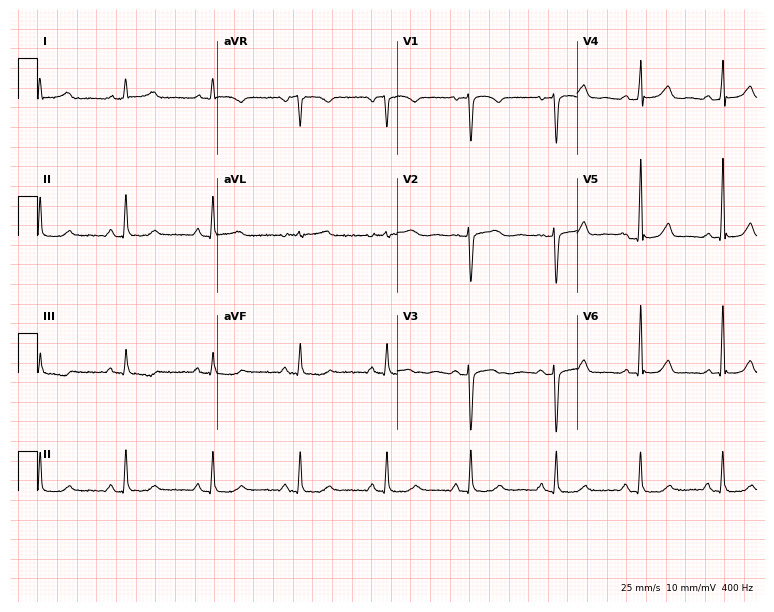
12-lead ECG from a 47-year-old female. Labelled as a normal ECG.